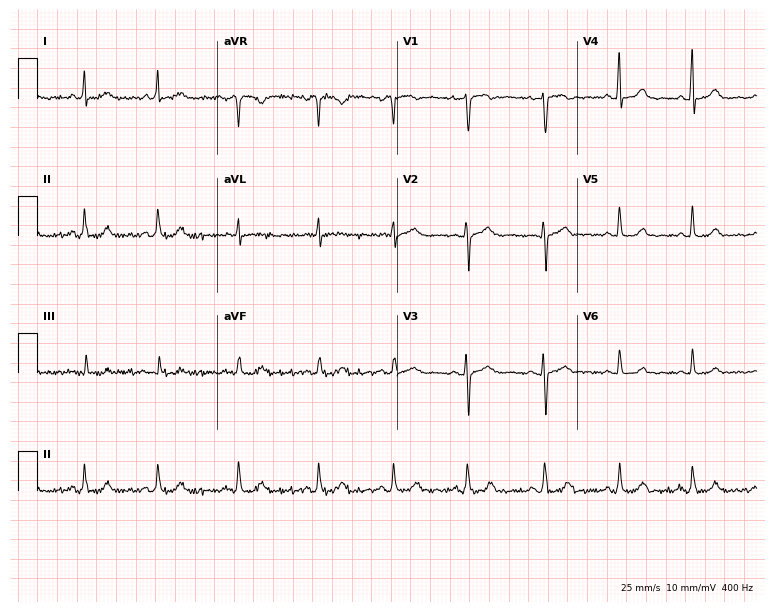
ECG — a female patient, 37 years old. Screened for six findings — first-degree AV block, right bundle branch block, left bundle branch block, sinus bradycardia, atrial fibrillation, sinus tachycardia — none is recorded.